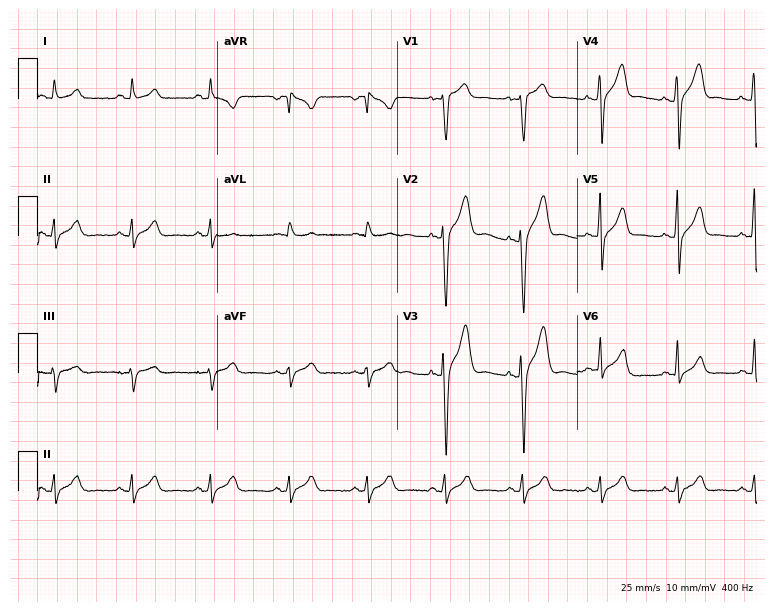
Standard 12-lead ECG recorded from a man, 49 years old (7.3-second recording at 400 Hz). Read as a normal ECG.